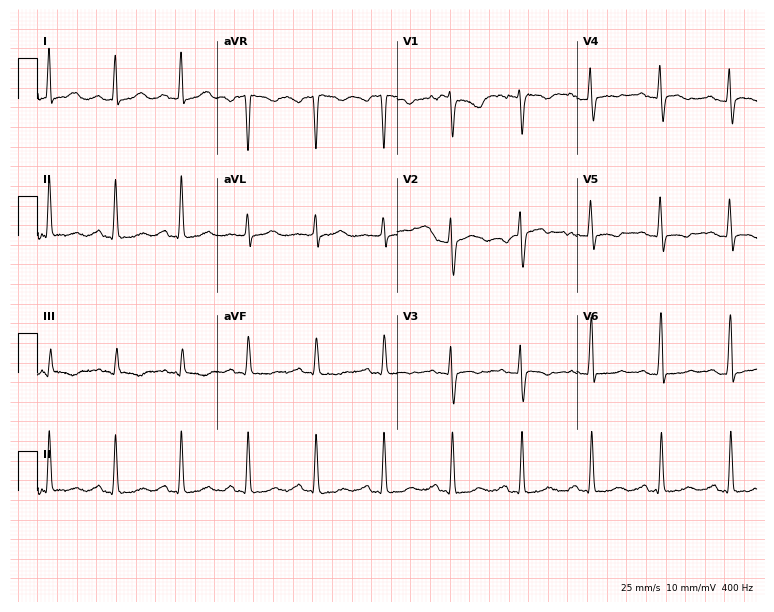
12-lead ECG (7.3-second recording at 400 Hz) from a 36-year-old woman. Screened for six findings — first-degree AV block, right bundle branch block (RBBB), left bundle branch block (LBBB), sinus bradycardia, atrial fibrillation (AF), sinus tachycardia — none is recorded.